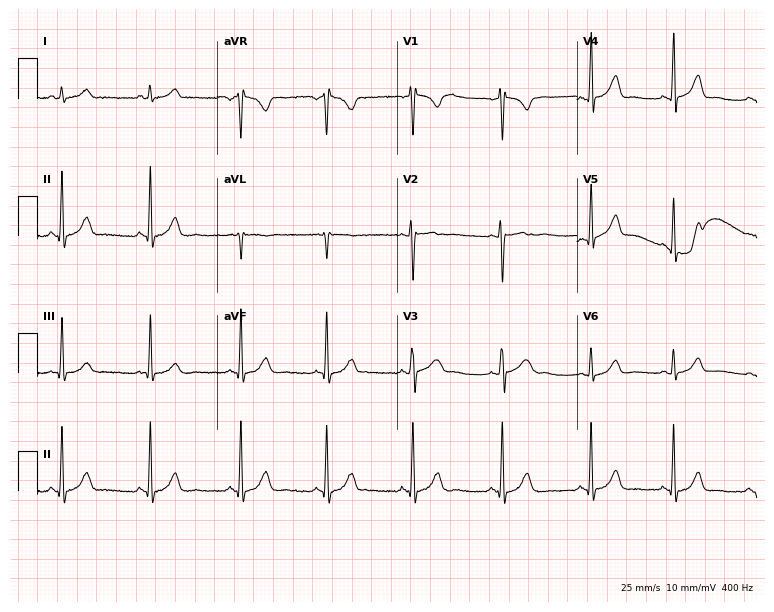
Standard 12-lead ECG recorded from a 31-year-old female (7.3-second recording at 400 Hz). None of these six findings is recorded: first-degree AV block, right bundle branch block, left bundle branch block, sinus bradycardia, atrial fibrillation, sinus tachycardia.